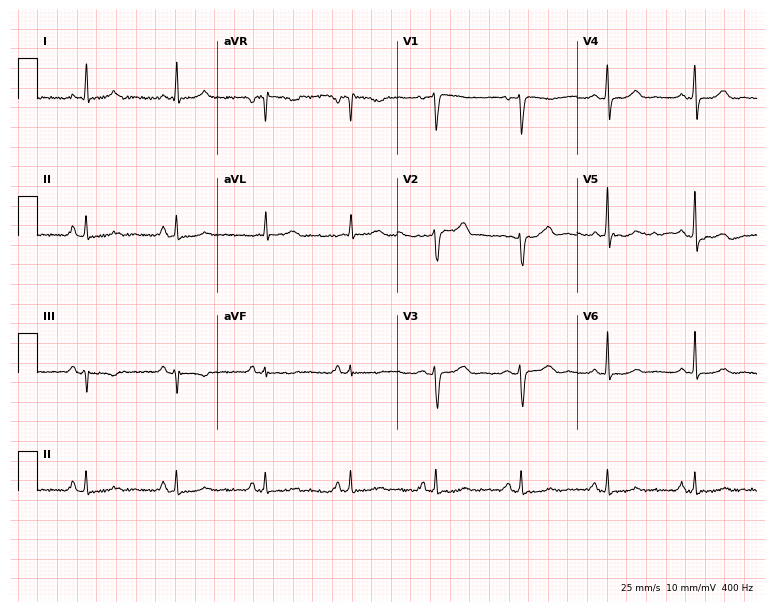
12-lead ECG from a 56-year-old female. Screened for six findings — first-degree AV block, right bundle branch block, left bundle branch block, sinus bradycardia, atrial fibrillation, sinus tachycardia — none is recorded.